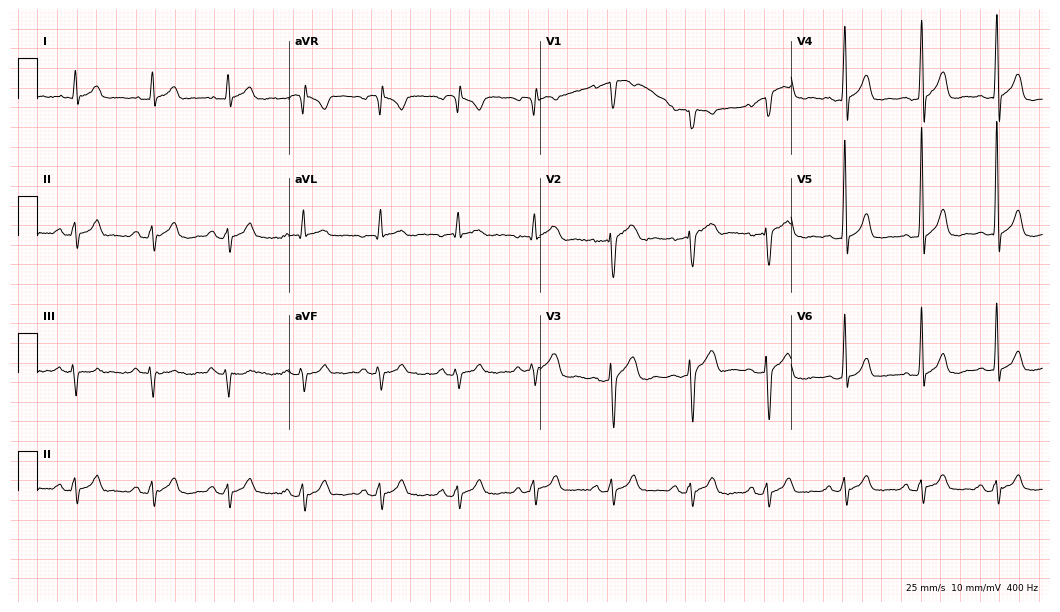
ECG — a man, 39 years old. Screened for six findings — first-degree AV block, right bundle branch block, left bundle branch block, sinus bradycardia, atrial fibrillation, sinus tachycardia — none is recorded. Only these six findings were labelled.